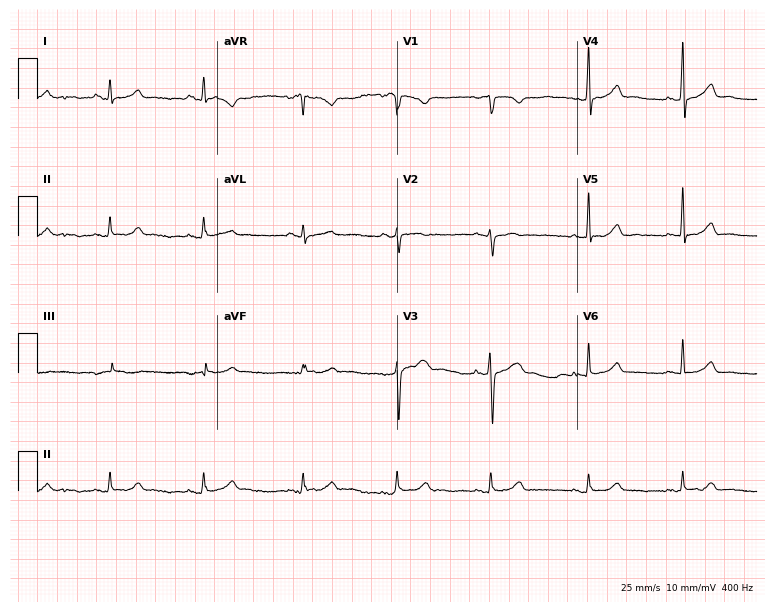
12-lead ECG from a woman, 31 years old (7.3-second recording at 400 Hz). No first-degree AV block, right bundle branch block (RBBB), left bundle branch block (LBBB), sinus bradycardia, atrial fibrillation (AF) or sinus tachycardia recorded for this tracing. Findings outside these six are not listed.